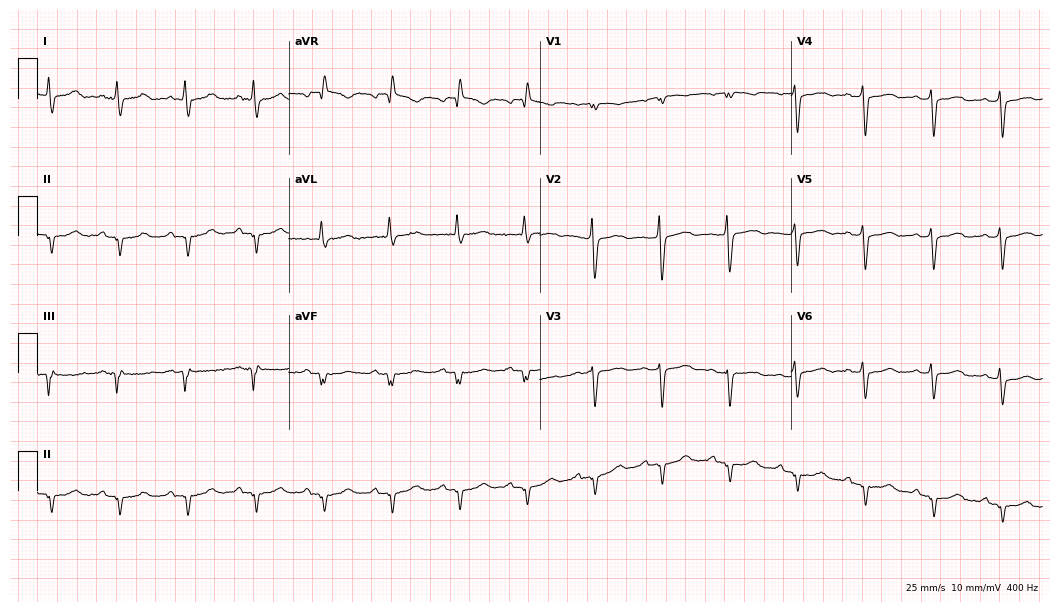
12-lead ECG (10.2-second recording at 400 Hz) from a 74-year-old female patient. Screened for six findings — first-degree AV block, right bundle branch block (RBBB), left bundle branch block (LBBB), sinus bradycardia, atrial fibrillation (AF), sinus tachycardia — none is recorded.